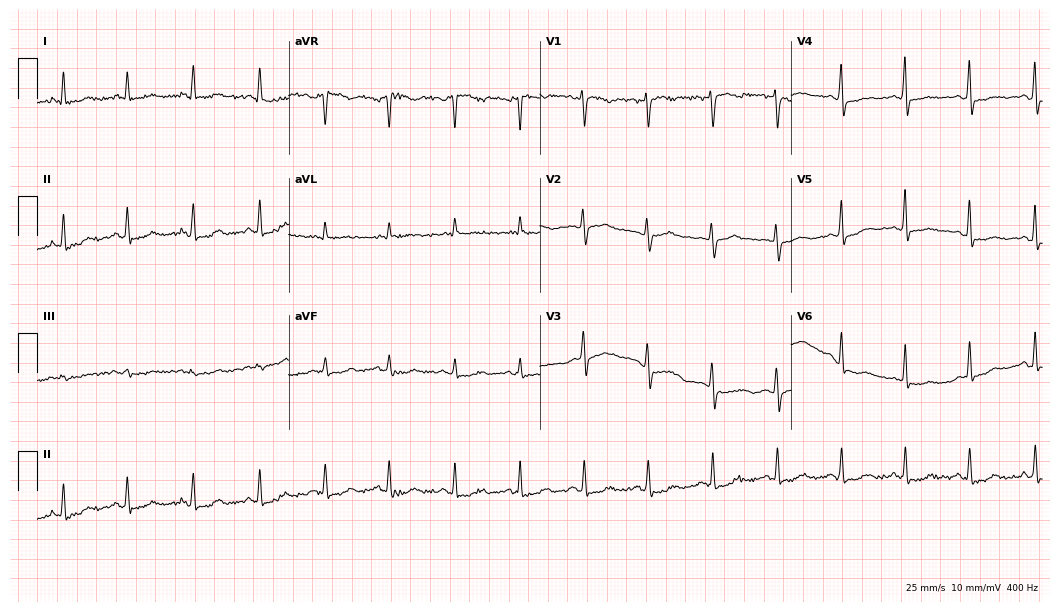
Standard 12-lead ECG recorded from a 52-year-old female patient (10.2-second recording at 400 Hz). None of these six findings is recorded: first-degree AV block, right bundle branch block (RBBB), left bundle branch block (LBBB), sinus bradycardia, atrial fibrillation (AF), sinus tachycardia.